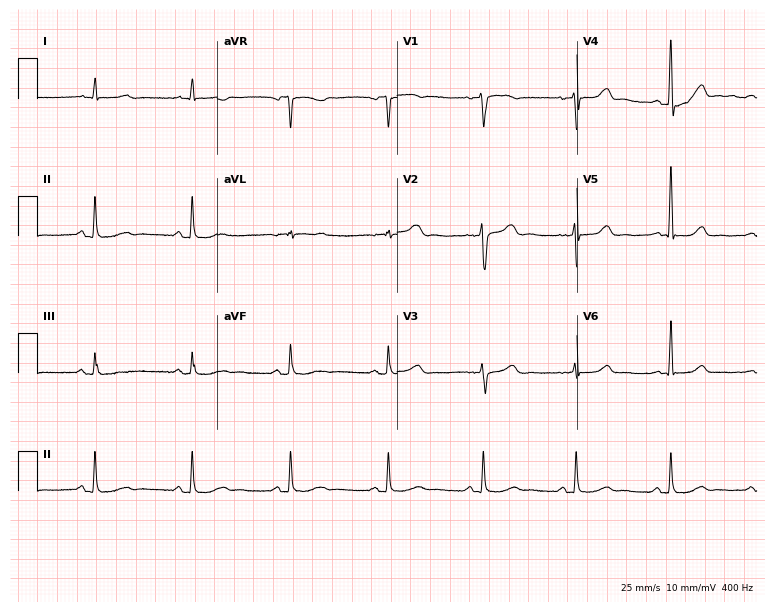
12-lead ECG from a woman, 63 years old. Screened for six findings — first-degree AV block, right bundle branch block, left bundle branch block, sinus bradycardia, atrial fibrillation, sinus tachycardia — none is recorded. Other findings, if any, are not listed.